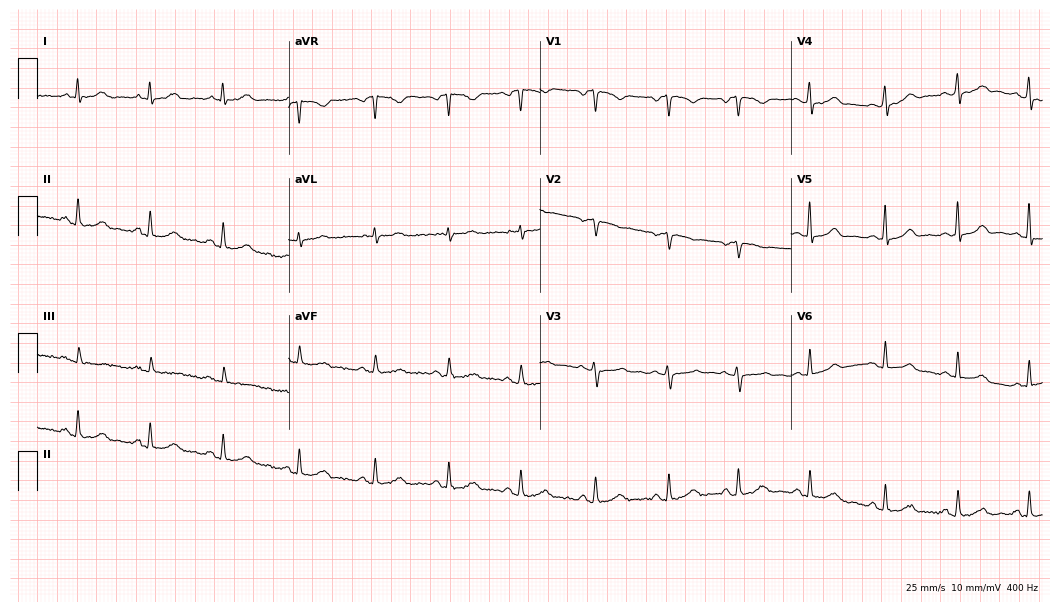
Resting 12-lead electrocardiogram. Patient: a woman, 42 years old. Read as a normal ECG.